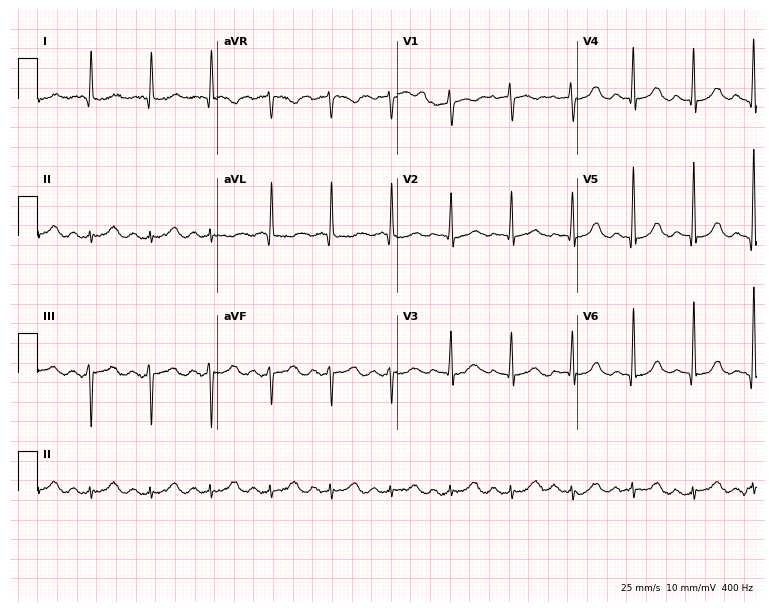
ECG (7.3-second recording at 400 Hz) — a 76-year-old woman. Screened for six findings — first-degree AV block, right bundle branch block, left bundle branch block, sinus bradycardia, atrial fibrillation, sinus tachycardia — none is recorded. Findings outside these six are not listed.